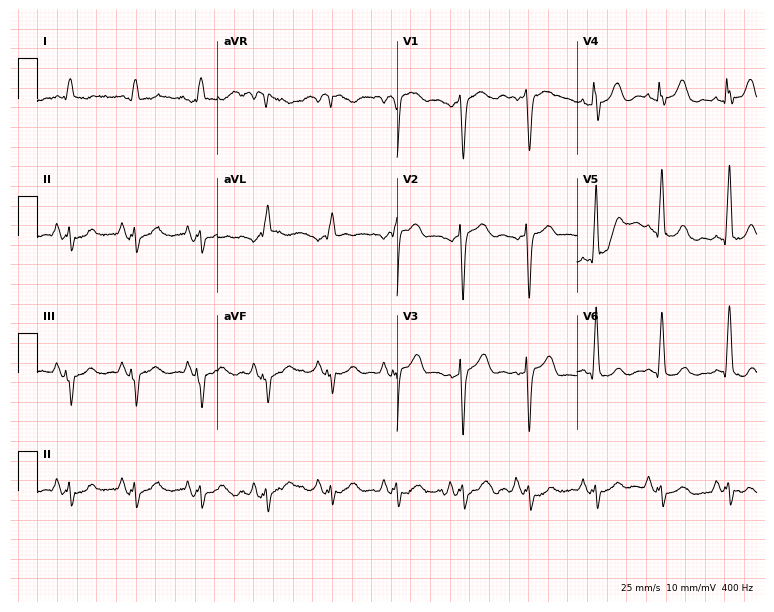
12-lead ECG from an 81-year-old man. No first-degree AV block, right bundle branch block (RBBB), left bundle branch block (LBBB), sinus bradycardia, atrial fibrillation (AF) or sinus tachycardia recorded for this tracing. Other findings, if any, are not listed.